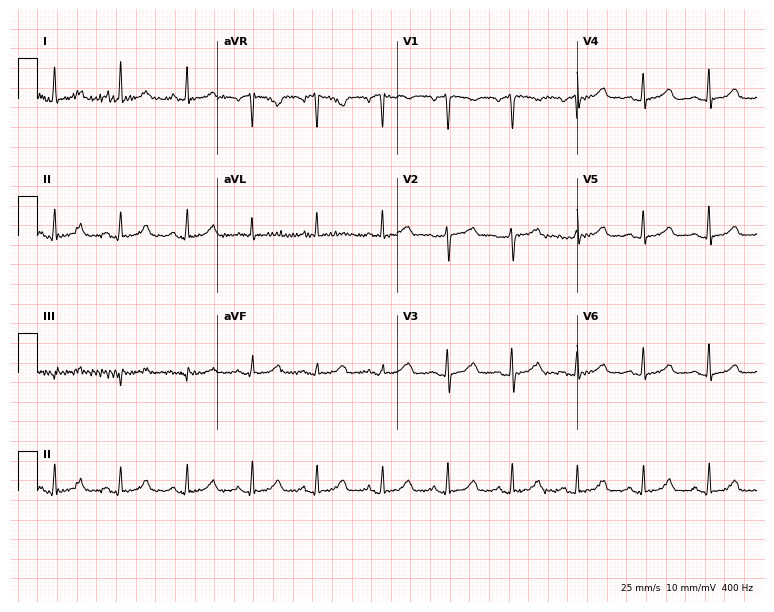
ECG (7.3-second recording at 400 Hz) — a female, 50 years old. Labelled as a normal ECG.